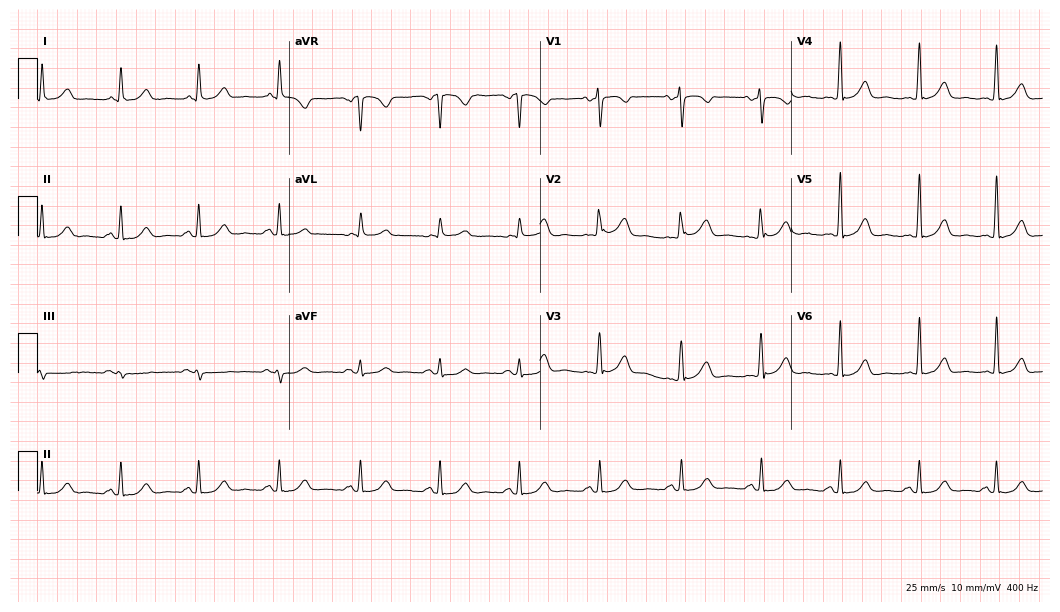
Electrocardiogram, a female, 61 years old. Of the six screened findings (first-degree AV block, right bundle branch block, left bundle branch block, sinus bradycardia, atrial fibrillation, sinus tachycardia), none is recorded.